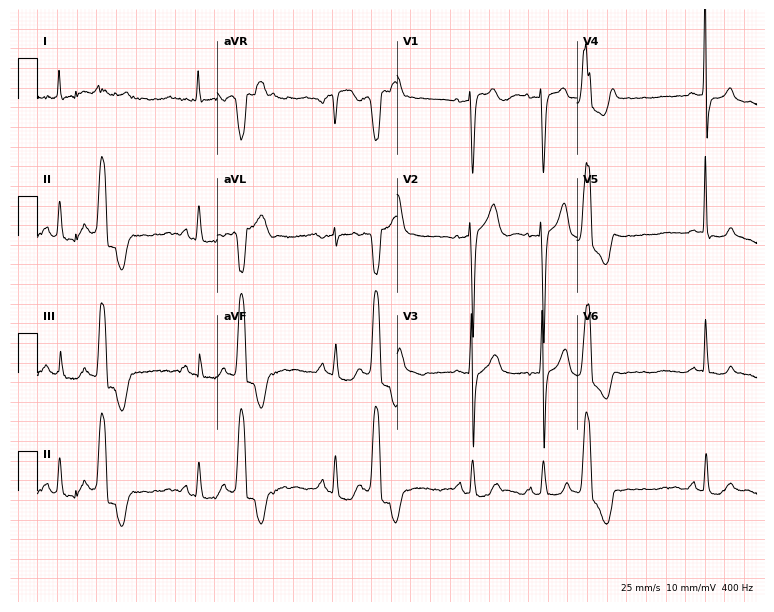
Standard 12-lead ECG recorded from a 69-year-old man (7.3-second recording at 400 Hz). None of these six findings is recorded: first-degree AV block, right bundle branch block, left bundle branch block, sinus bradycardia, atrial fibrillation, sinus tachycardia. Findings outside these six are not listed.